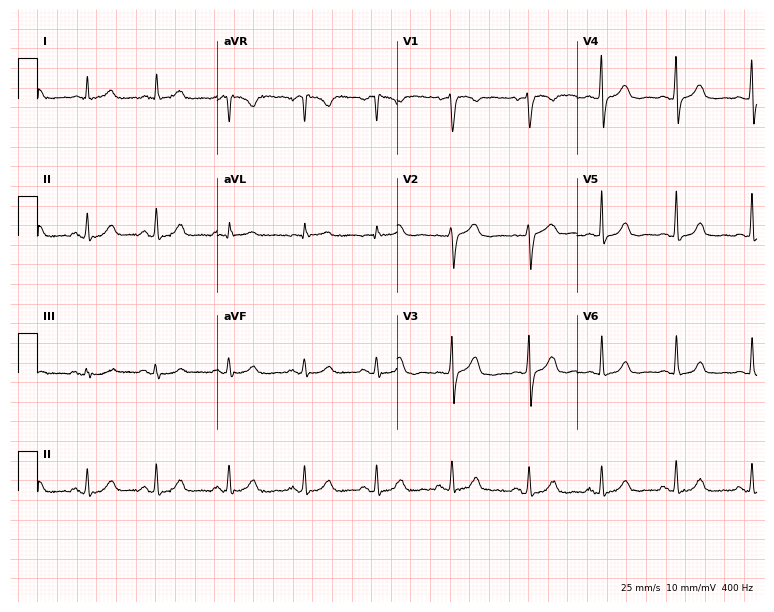
12-lead ECG (7.3-second recording at 400 Hz) from a female patient, 51 years old. Screened for six findings — first-degree AV block, right bundle branch block, left bundle branch block, sinus bradycardia, atrial fibrillation, sinus tachycardia — none is recorded.